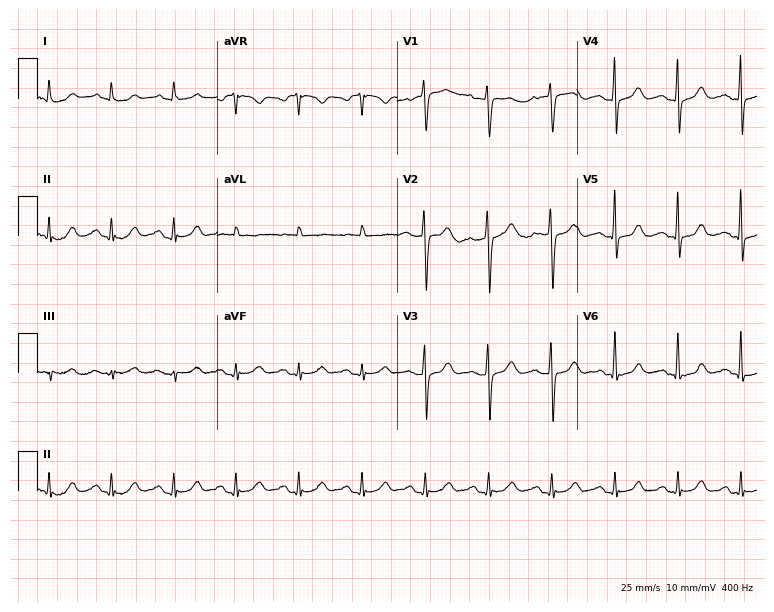
Standard 12-lead ECG recorded from a female patient, 61 years old (7.3-second recording at 400 Hz). None of these six findings is recorded: first-degree AV block, right bundle branch block, left bundle branch block, sinus bradycardia, atrial fibrillation, sinus tachycardia. Only these six findings were labelled.